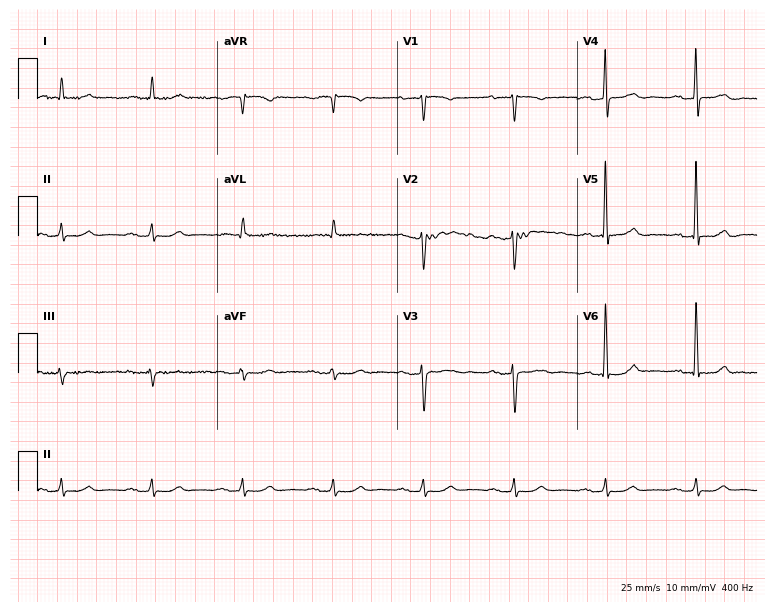
12-lead ECG from a 70-year-old woman (7.3-second recording at 400 Hz). Recorded interpretation: within normal limits.